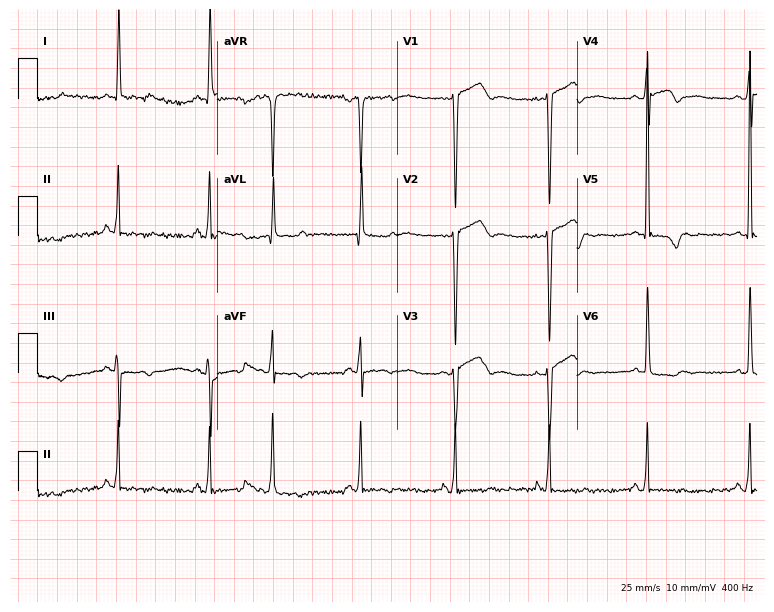
Standard 12-lead ECG recorded from a woman, 67 years old. None of these six findings is recorded: first-degree AV block, right bundle branch block, left bundle branch block, sinus bradycardia, atrial fibrillation, sinus tachycardia. Only these six findings were labelled.